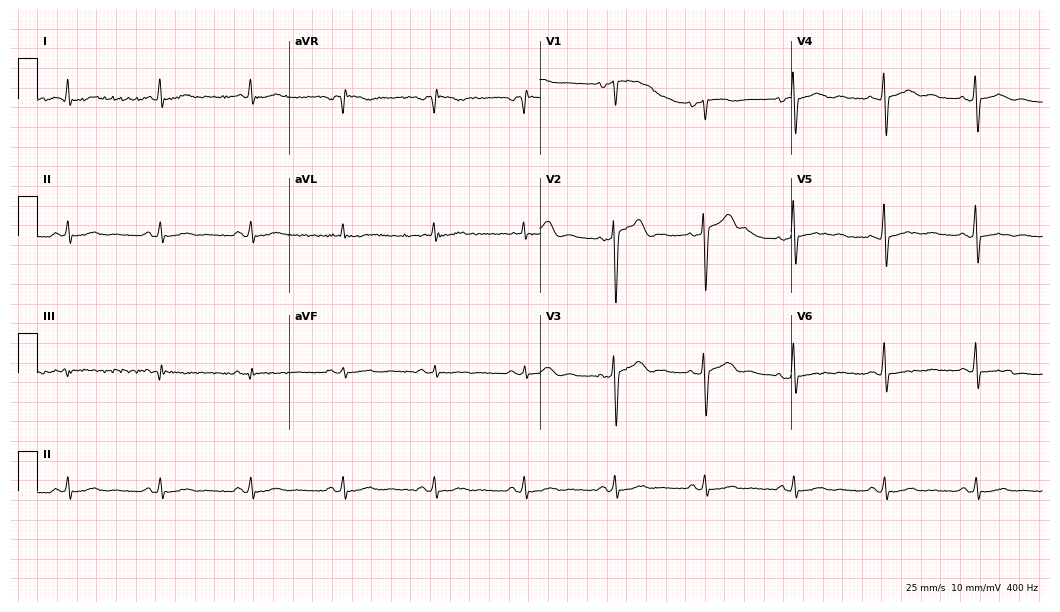
12-lead ECG from a 45-year-old man. Screened for six findings — first-degree AV block, right bundle branch block, left bundle branch block, sinus bradycardia, atrial fibrillation, sinus tachycardia — none is recorded. Other findings, if any, are not listed.